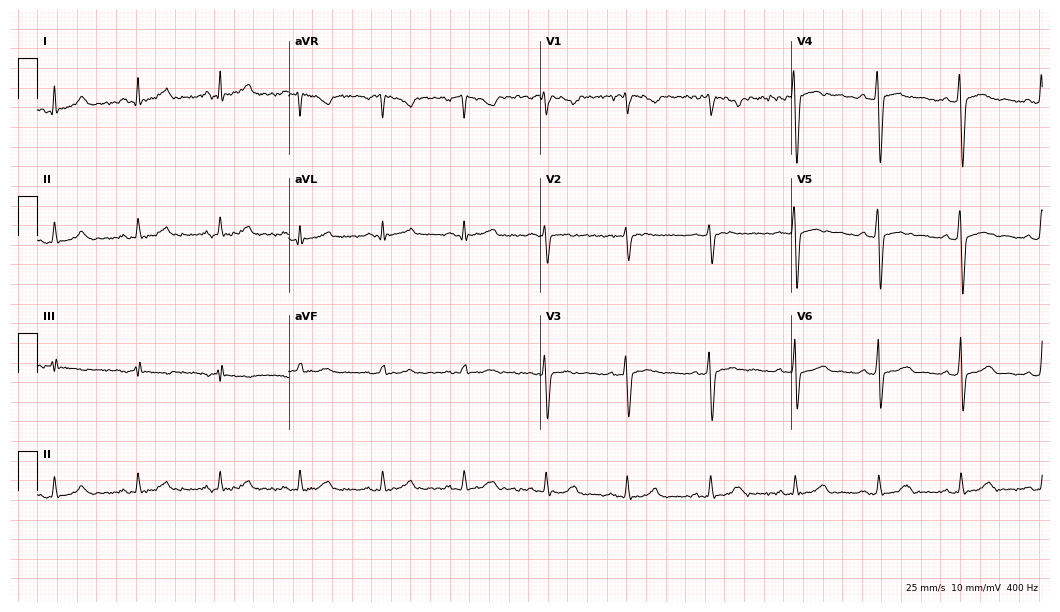
12-lead ECG from a 31-year-old female. Labelled as a normal ECG.